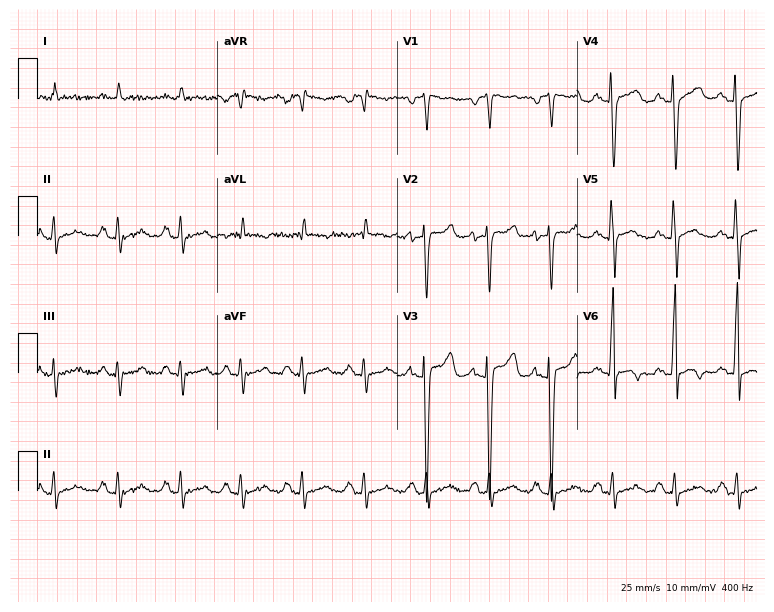
12-lead ECG from a 50-year-old male (7.3-second recording at 400 Hz). No first-degree AV block, right bundle branch block, left bundle branch block, sinus bradycardia, atrial fibrillation or sinus tachycardia recorded for this tracing. Findings outside these six are not listed.